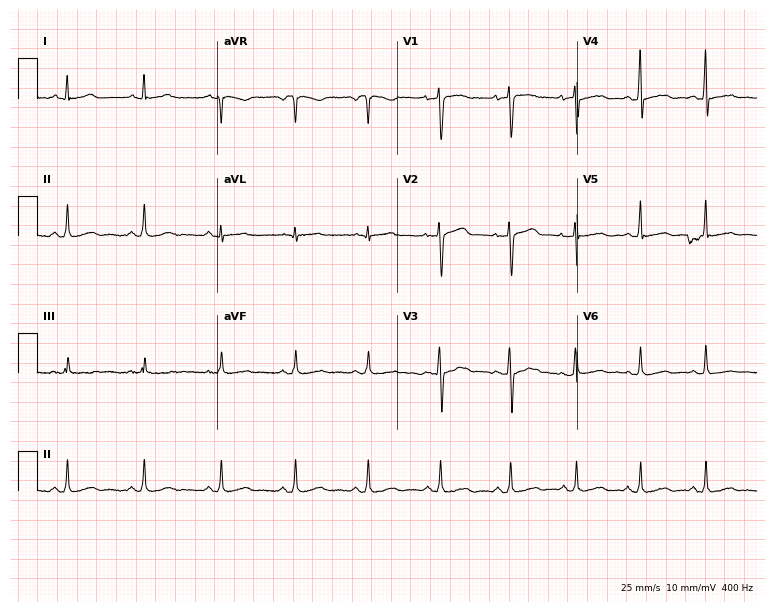
Electrocardiogram (7.3-second recording at 400 Hz), a woman, 35 years old. Overall reading on record: normal ECG.